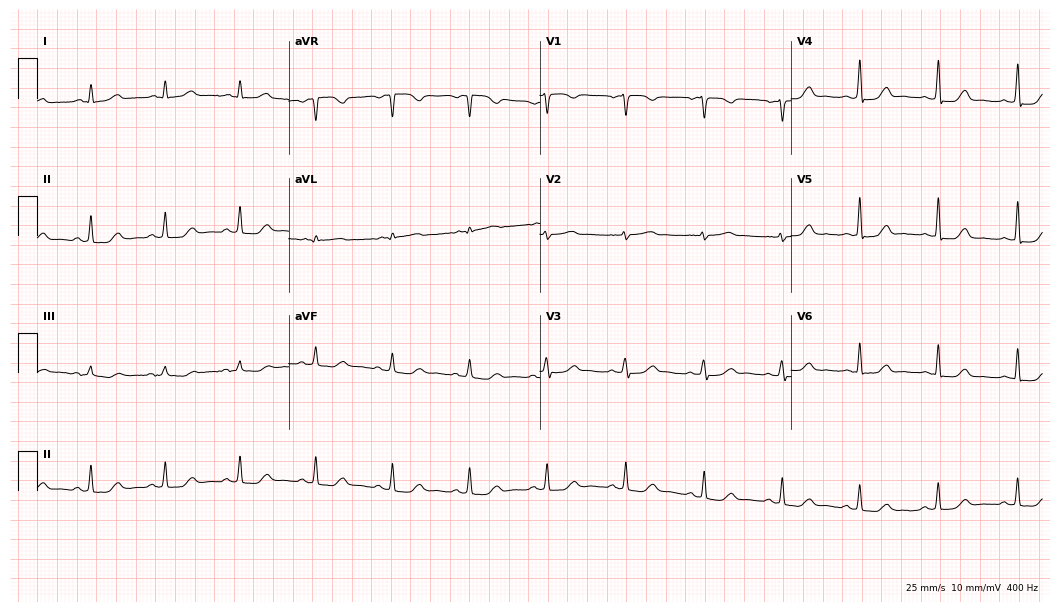
12-lead ECG from a 49-year-old female. Recorded interpretation: within normal limits.